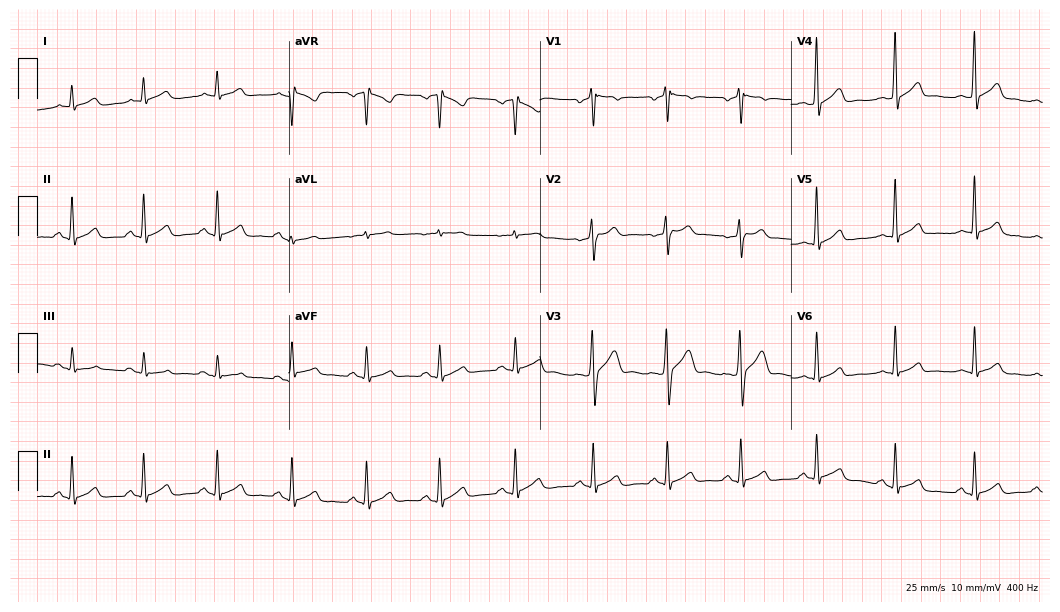
ECG (10.2-second recording at 400 Hz) — a 29-year-old man. Labelled as a normal ECG.